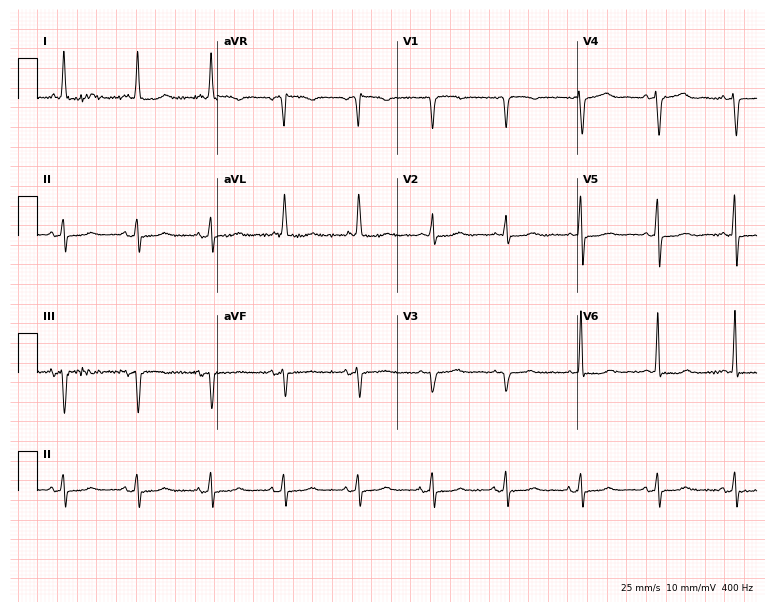
Standard 12-lead ECG recorded from an 84-year-old female. None of these six findings is recorded: first-degree AV block, right bundle branch block, left bundle branch block, sinus bradycardia, atrial fibrillation, sinus tachycardia. Only these six findings were labelled.